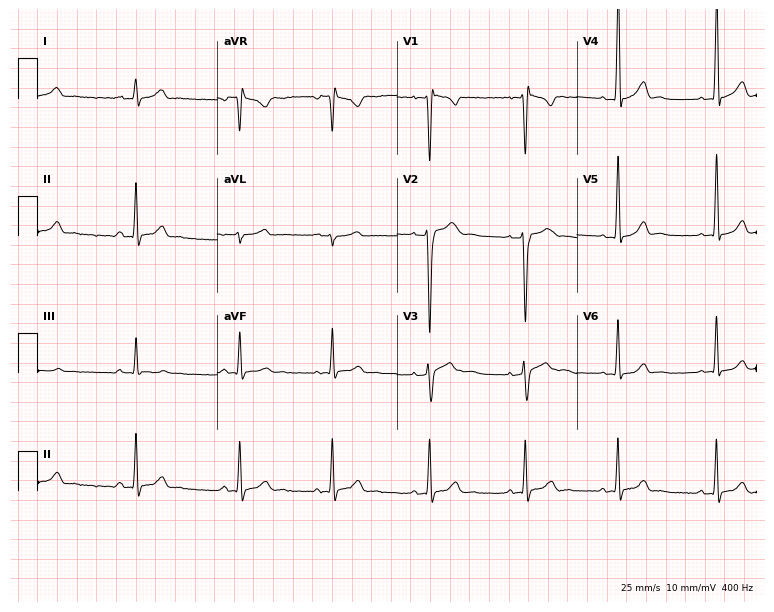
Resting 12-lead electrocardiogram (7.3-second recording at 400 Hz). Patient: a male, 24 years old. None of these six findings is recorded: first-degree AV block, right bundle branch block (RBBB), left bundle branch block (LBBB), sinus bradycardia, atrial fibrillation (AF), sinus tachycardia. Only these six findings were labelled.